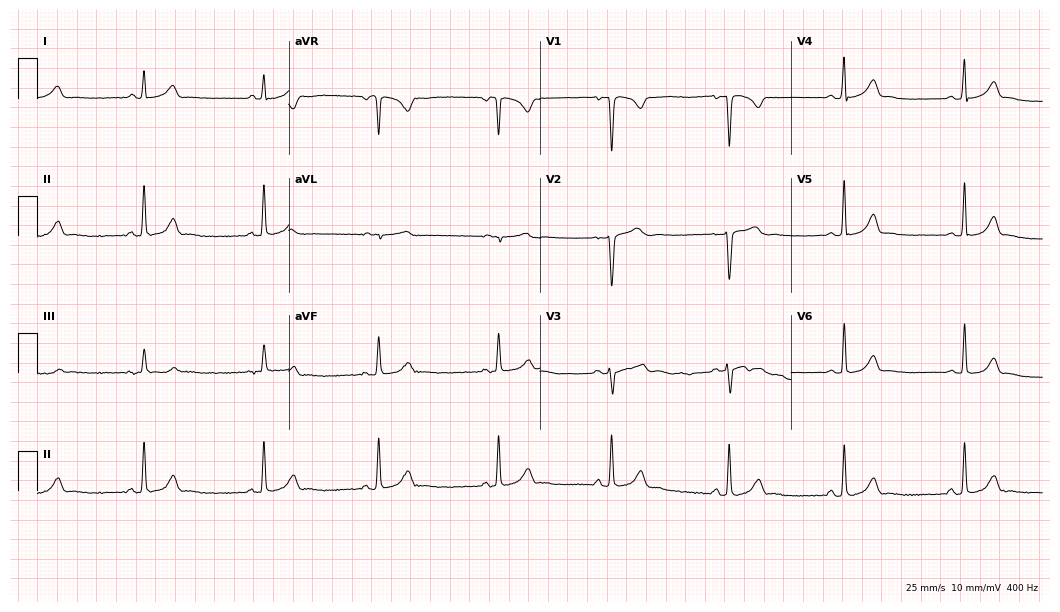
12-lead ECG from a 26-year-old female patient (10.2-second recording at 400 Hz). Recorded interpretation: within normal limits.